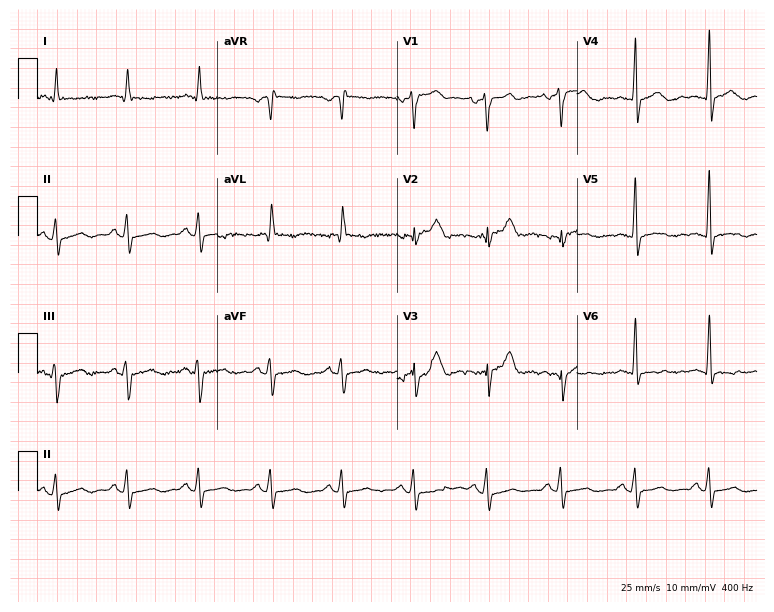
Resting 12-lead electrocardiogram. Patient: a male, 53 years old. None of these six findings is recorded: first-degree AV block, right bundle branch block, left bundle branch block, sinus bradycardia, atrial fibrillation, sinus tachycardia. Other findings, if any, are not listed.